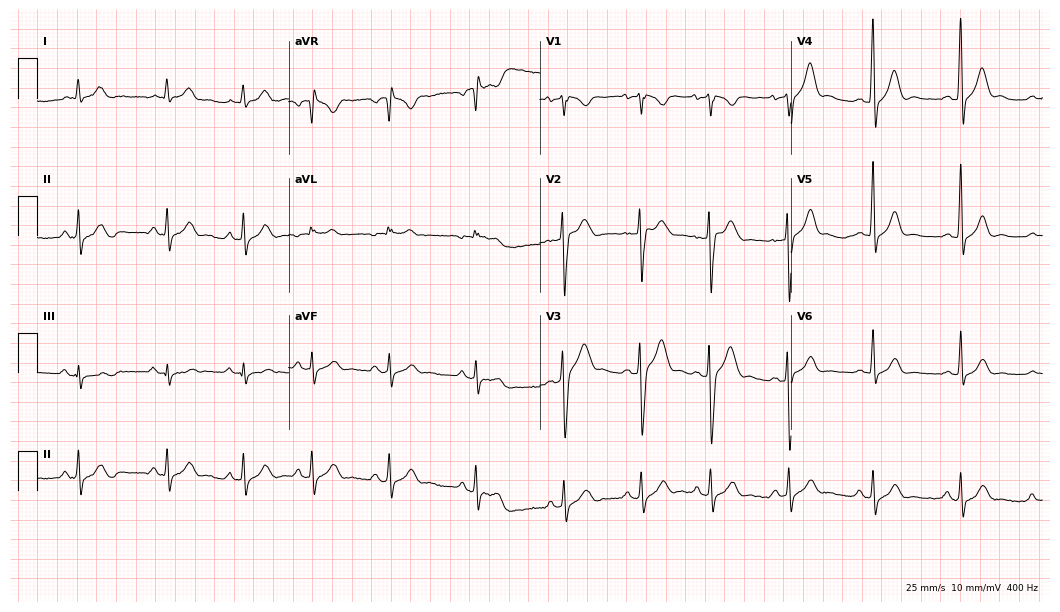
Electrocardiogram, a 32-year-old man. Overall reading on record: normal ECG.